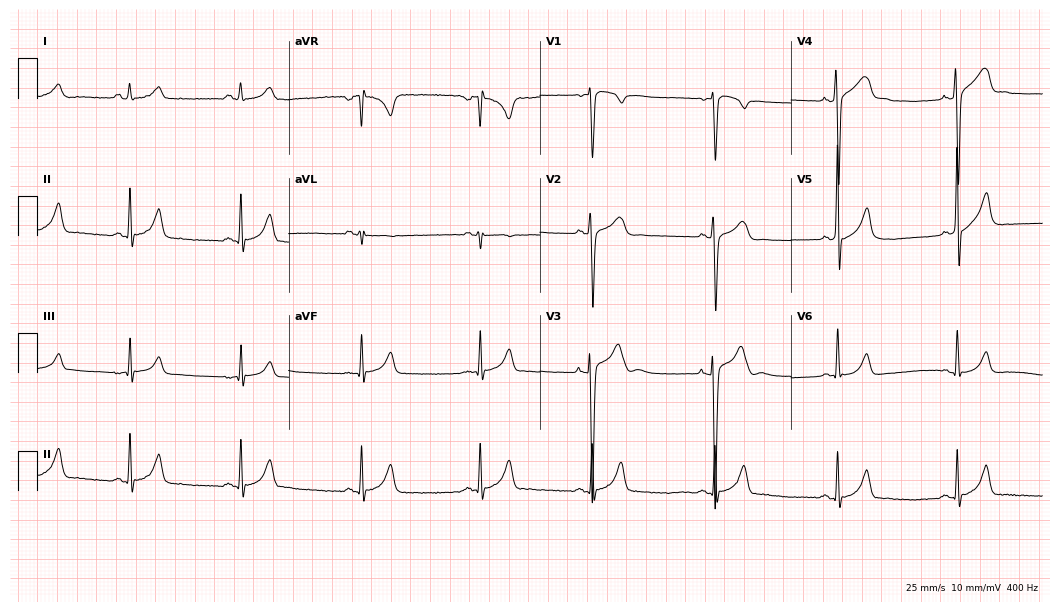
Resting 12-lead electrocardiogram (10.2-second recording at 400 Hz). Patient: a 19-year-old male. None of these six findings is recorded: first-degree AV block, right bundle branch block, left bundle branch block, sinus bradycardia, atrial fibrillation, sinus tachycardia.